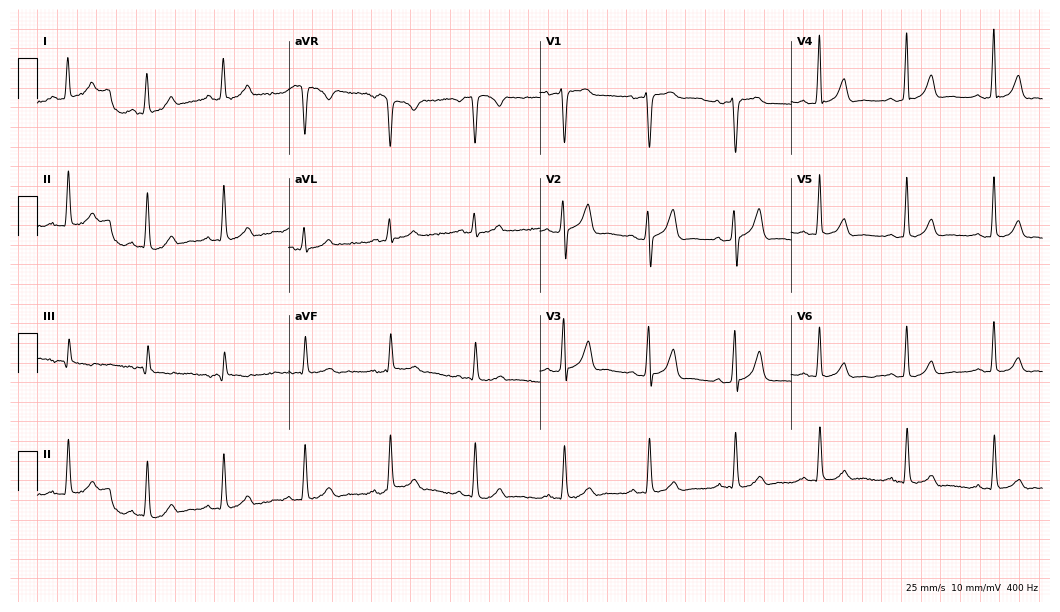
Standard 12-lead ECG recorded from a 33-year-old woman (10.2-second recording at 400 Hz). Read as a normal ECG.